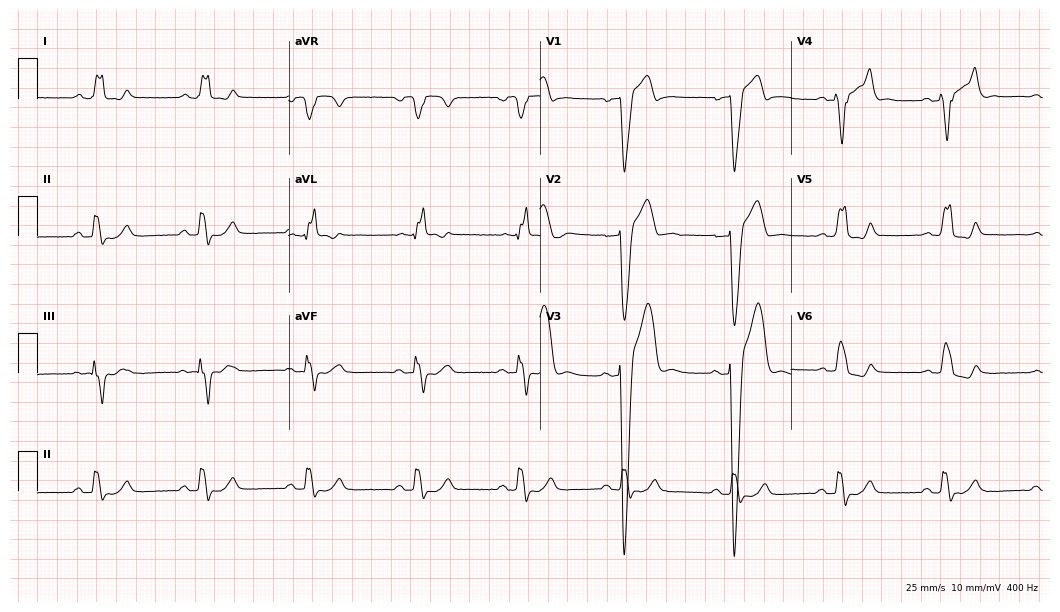
12-lead ECG from a male patient, 37 years old. Shows left bundle branch block.